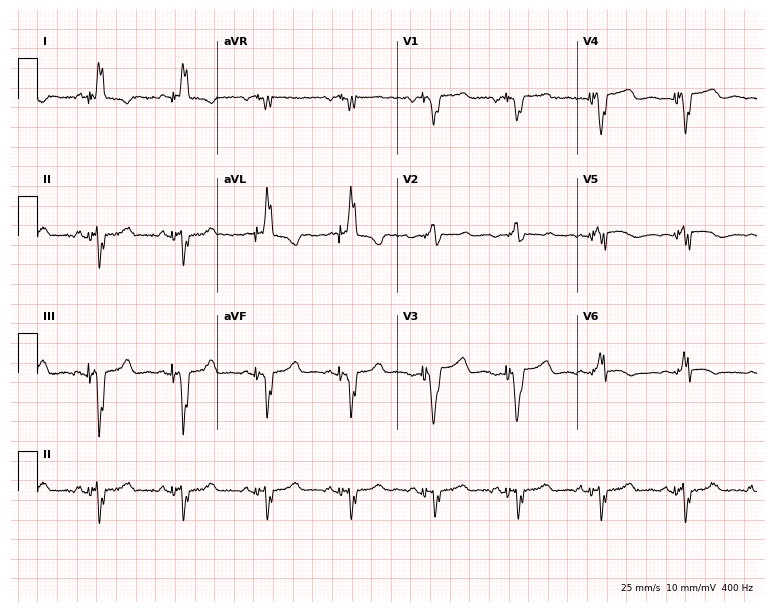
Electrocardiogram, a 46-year-old female patient. Of the six screened findings (first-degree AV block, right bundle branch block, left bundle branch block, sinus bradycardia, atrial fibrillation, sinus tachycardia), none is recorded. Findings outside these six are not listed.